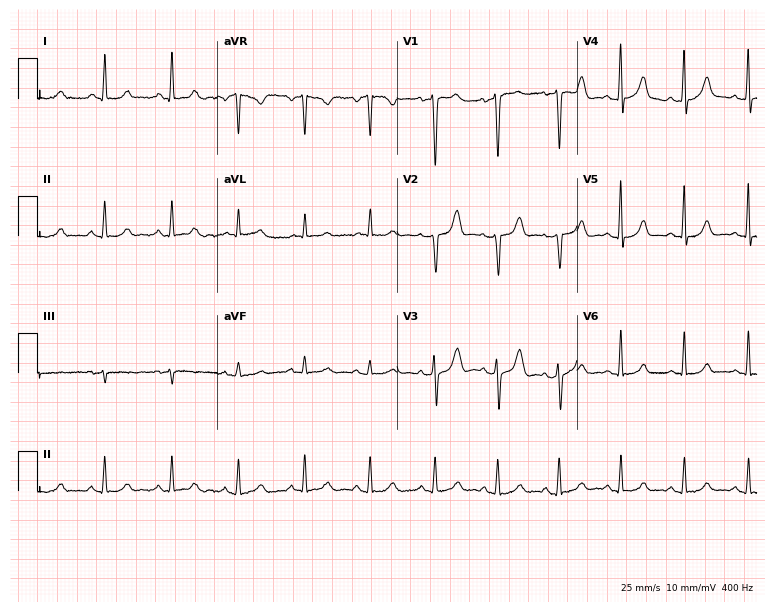
ECG (7.3-second recording at 400 Hz) — a female patient, 39 years old. Screened for six findings — first-degree AV block, right bundle branch block, left bundle branch block, sinus bradycardia, atrial fibrillation, sinus tachycardia — none is recorded. Only these six findings were labelled.